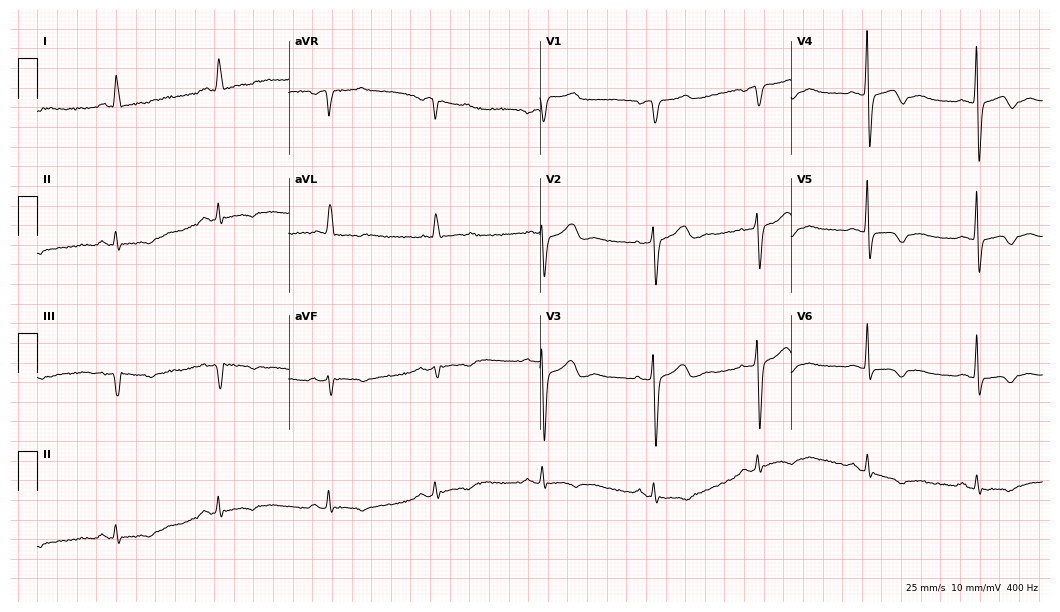
Electrocardiogram, a 56-year-old female. Of the six screened findings (first-degree AV block, right bundle branch block, left bundle branch block, sinus bradycardia, atrial fibrillation, sinus tachycardia), none is recorded.